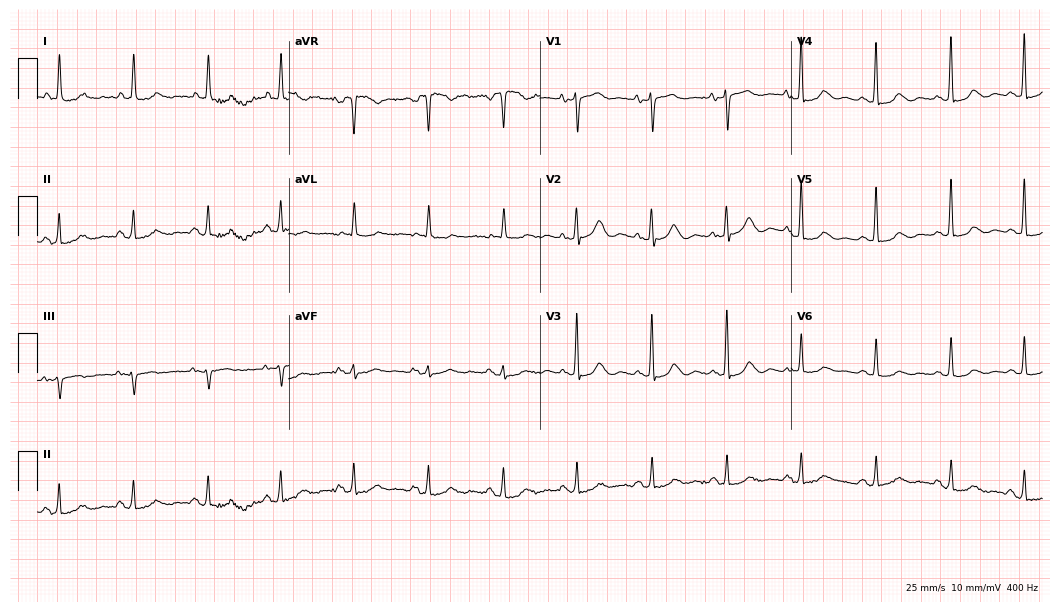
Resting 12-lead electrocardiogram (10.2-second recording at 400 Hz). Patient: a female, 85 years old. Read as a normal ECG.